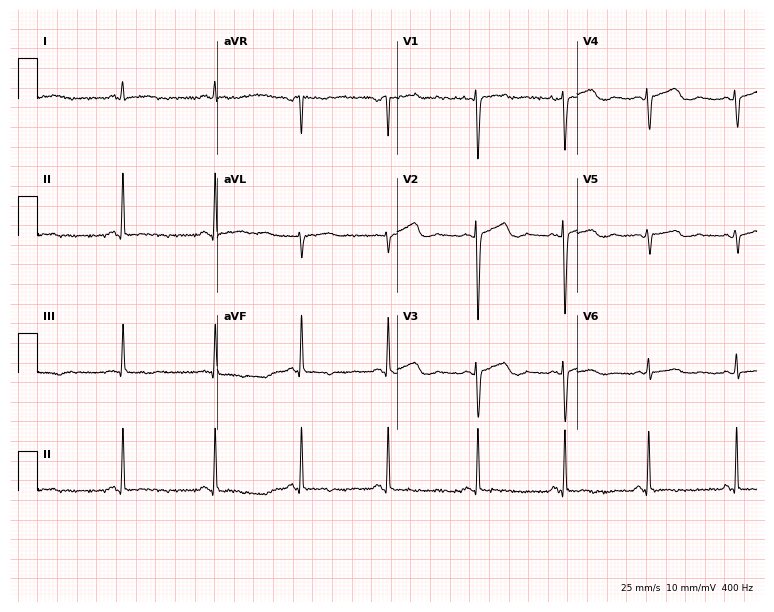
12-lead ECG from a woman, 26 years old (7.3-second recording at 400 Hz). No first-degree AV block, right bundle branch block, left bundle branch block, sinus bradycardia, atrial fibrillation or sinus tachycardia recorded for this tracing. Only these six findings were labelled.